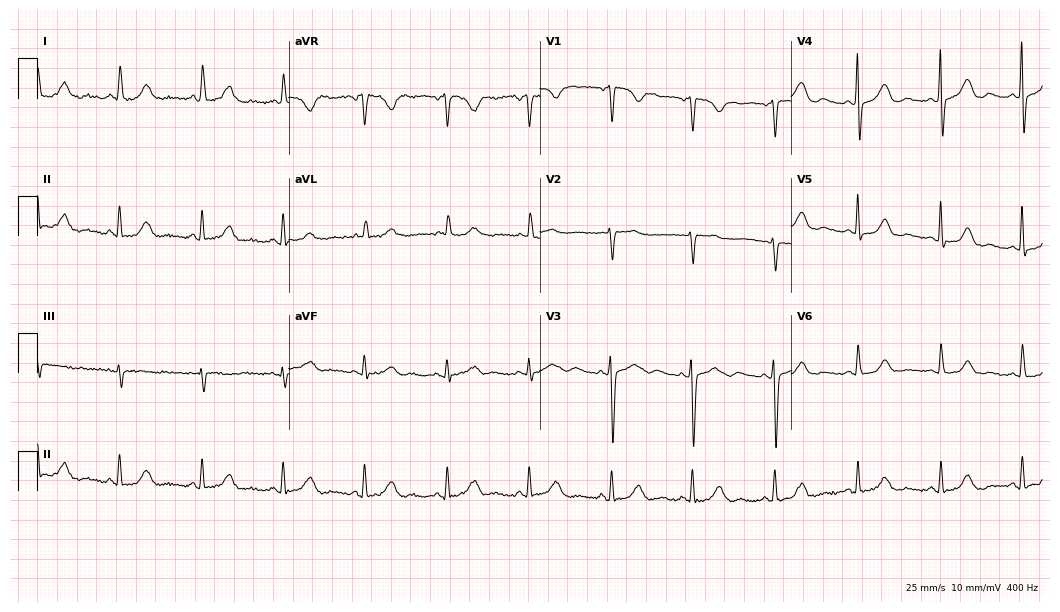
ECG — a 66-year-old woman. Labelled as a normal ECG.